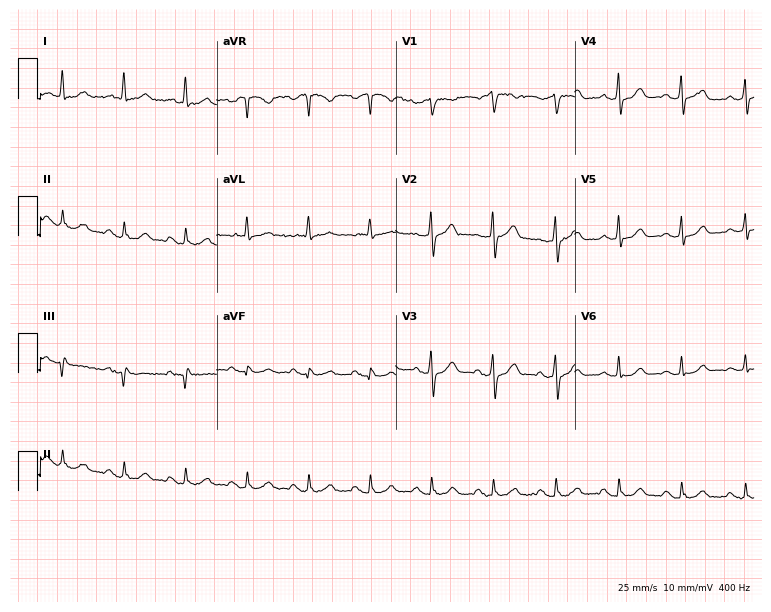
12-lead ECG (7.3-second recording at 400 Hz) from a 73-year-old male patient. Labelled as a normal ECG.